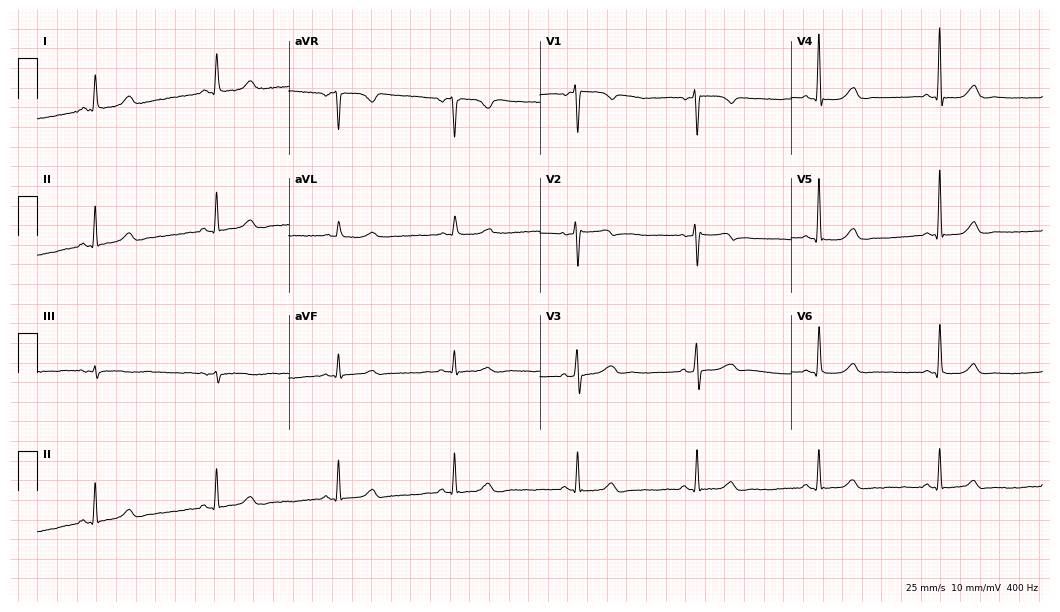
ECG (10.2-second recording at 400 Hz) — a 49-year-old woman. Labelled as a normal ECG.